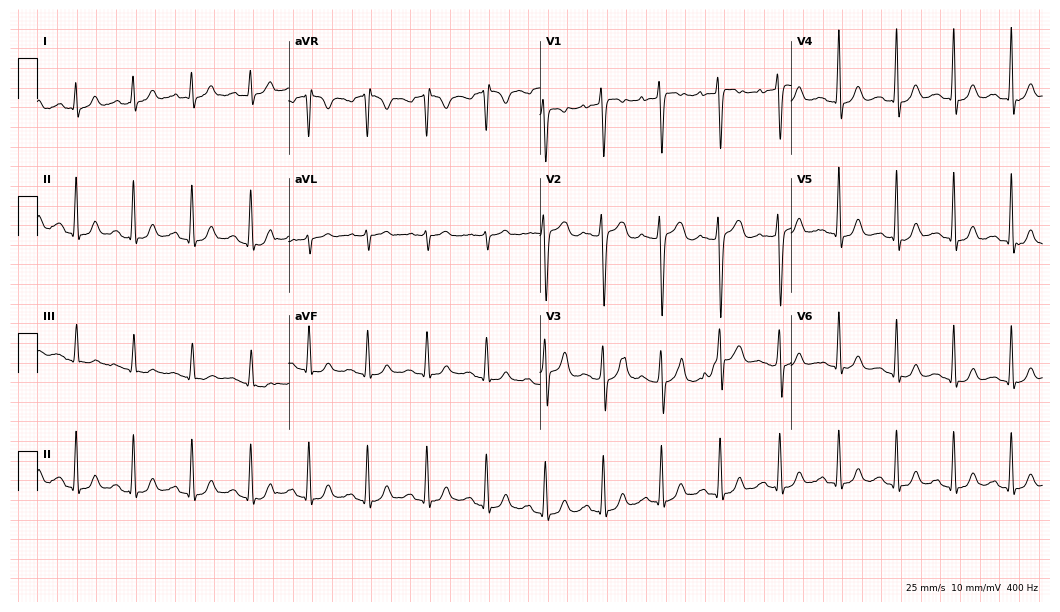
Standard 12-lead ECG recorded from a 19-year-old male patient. Read as a normal ECG.